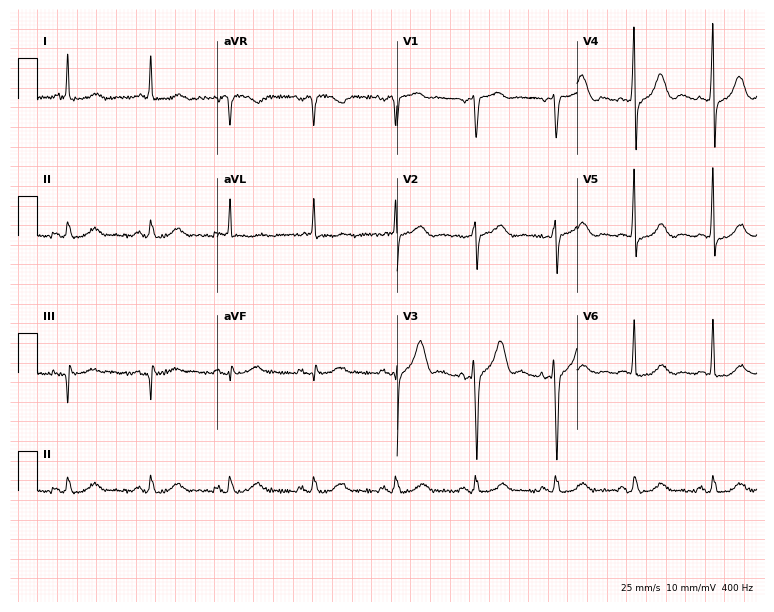
Electrocardiogram, a 70-year-old man. Of the six screened findings (first-degree AV block, right bundle branch block, left bundle branch block, sinus bradycardia, atrial fibrillation, sinus tachycardia), none is recorded.